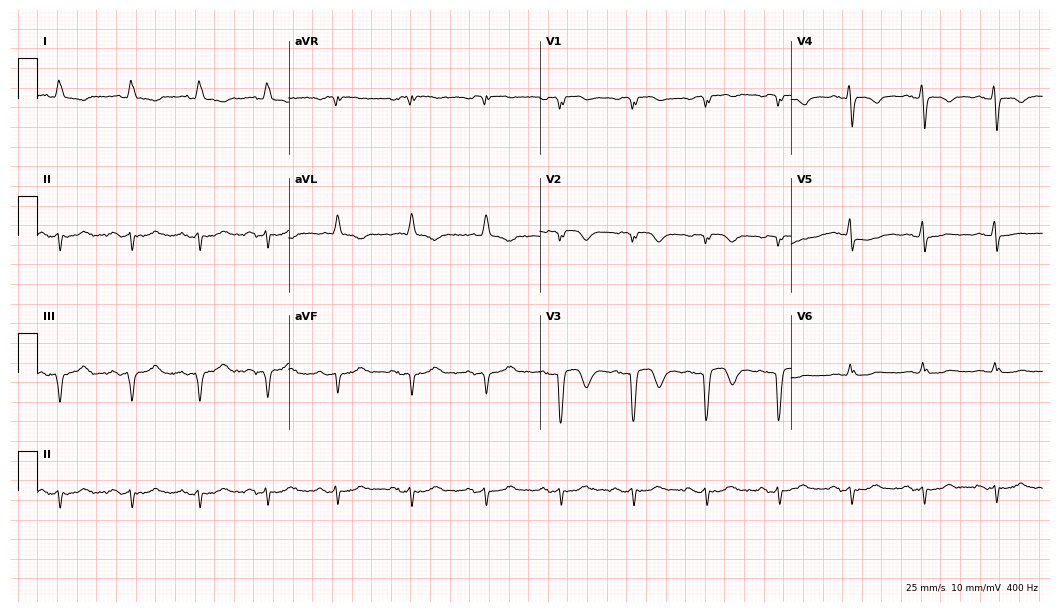
12-lead ECG (10.2-second recording at 400 Hz) from a 78-year-old male patient. Screened for six findings — first-degree AV block, right bundle branch block, left bundle branch block, sinus bradycardia, atrial fibrillation, sinus tachycardia — none is recorded.